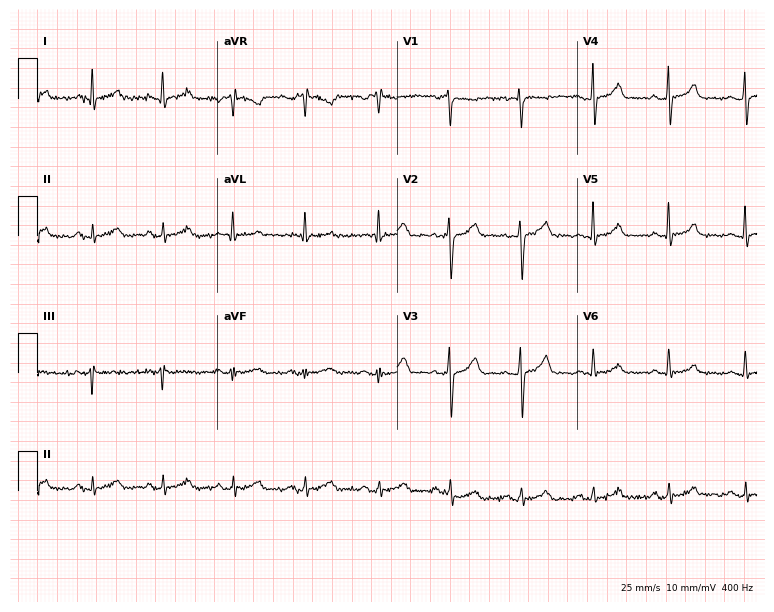
Standard 12-lead ECG recorded from a female patient, 45 years old (7.3-second recording at 400 Hz). Read as a normal ECG.